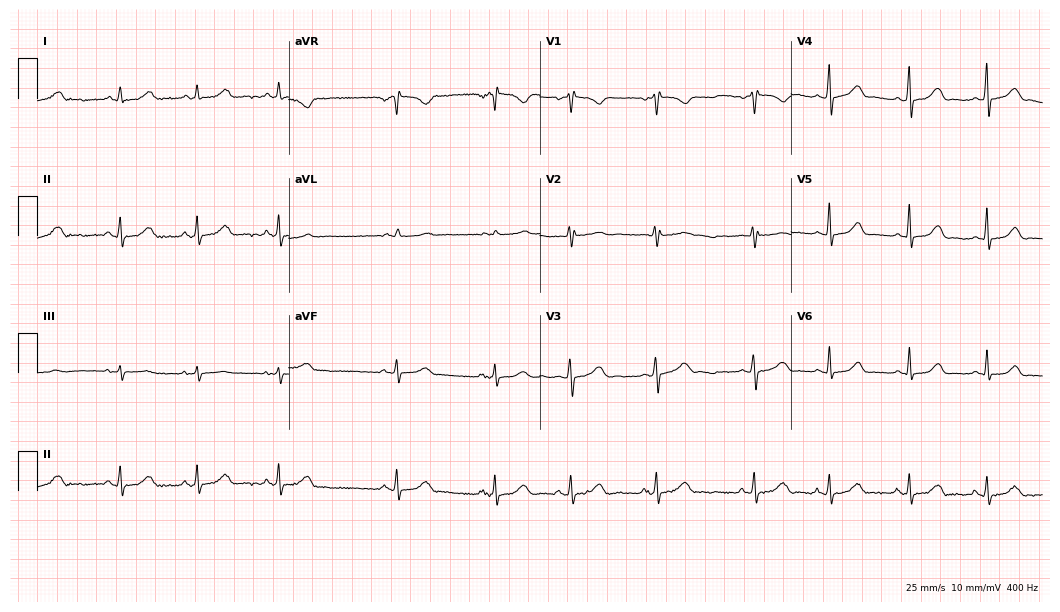
Standard 12-lead ECG recorded from a female patient, 17 years old (10.2-second recording at 400 Hz). None of these six findings is recorded: first-degree AV block, right bundle branch block (RBBB), left bundle branch block (LBBB), sinus bradycardia, atrial fibrillation (AF), sinus tachycardia. Other findings, if any, are not listed.